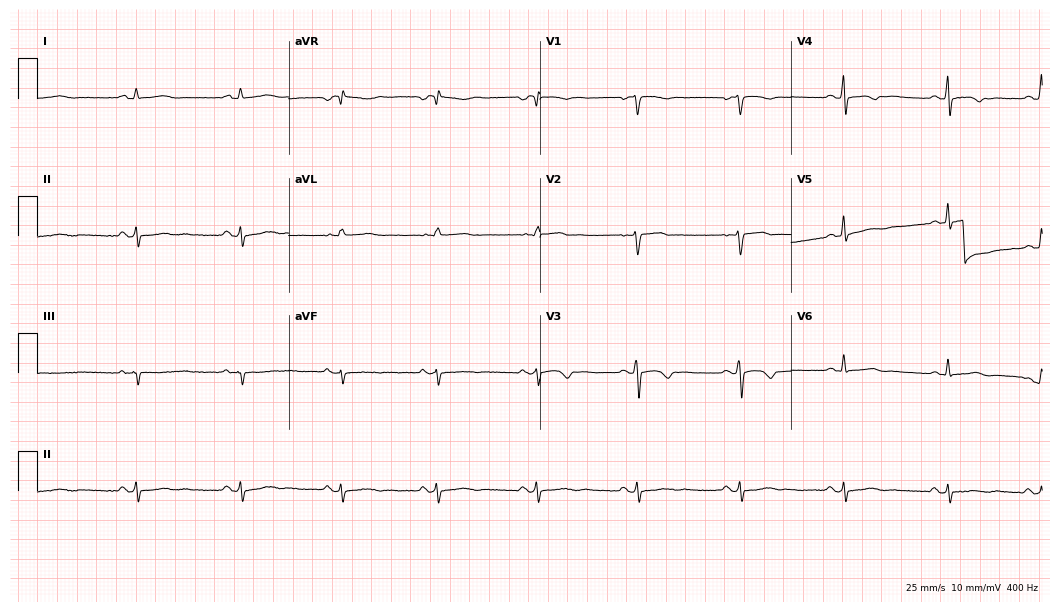
ECG — a 33-year-old female. Labelled as a normal ECG.